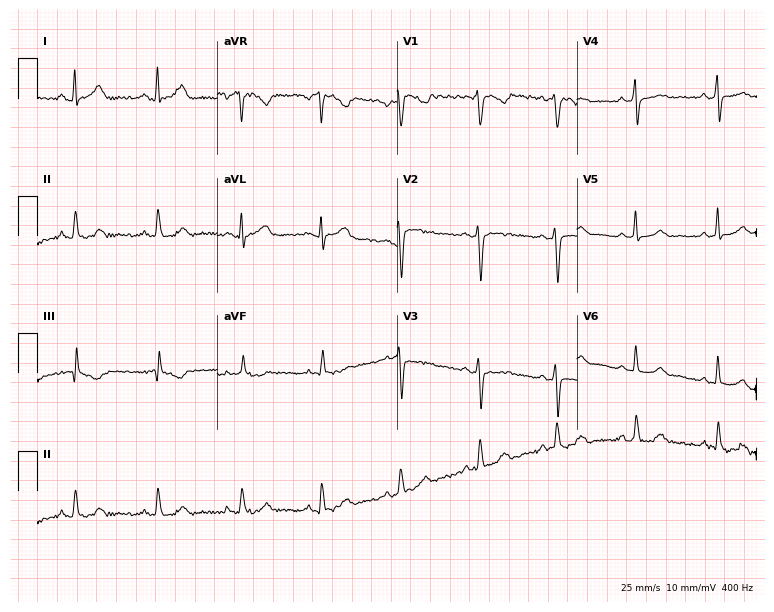
Resting 12-lead electrocardiogram. Patient: a 26-year-old woman. None of these six findings is recorded: first-degree AV block, right bundle branch block, left bundle branch block, sinus bradycardia, atrial fibrillation, sinus tachycardia.